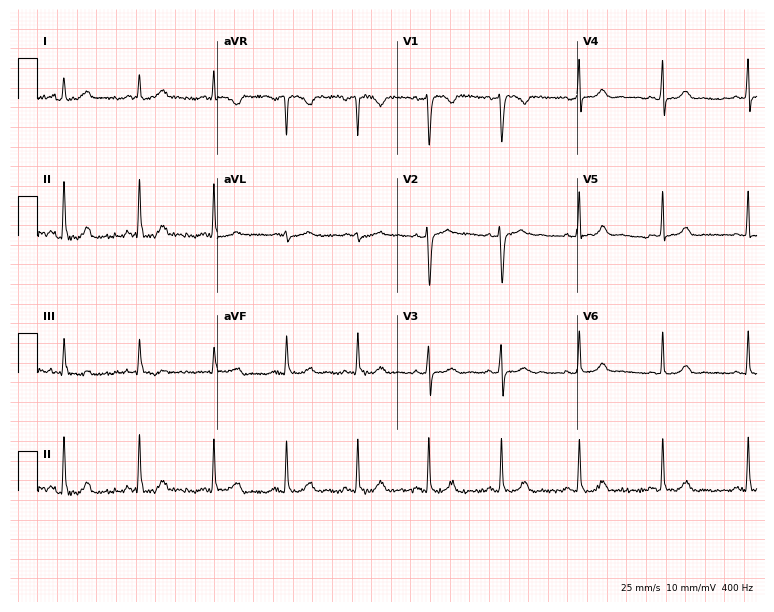
Electrocardiogram, a female patient, 35 years old. Overall reading on record: normal ECG.